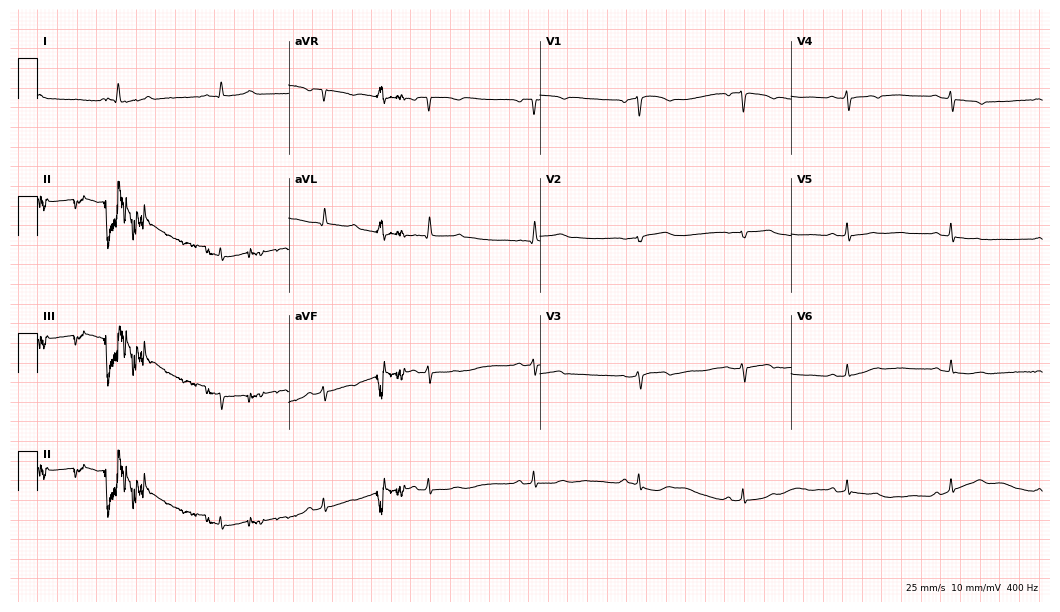
Resting 12-lead electrocardiogram. Patient: a 57-year-old female. None of these six findings is recorded: first-degree AV block, right bundle branch block, left bundle branch block, sinus bradycardia, atrial fibrillation, sinus tachycardia. Findings outside these six are not listed.